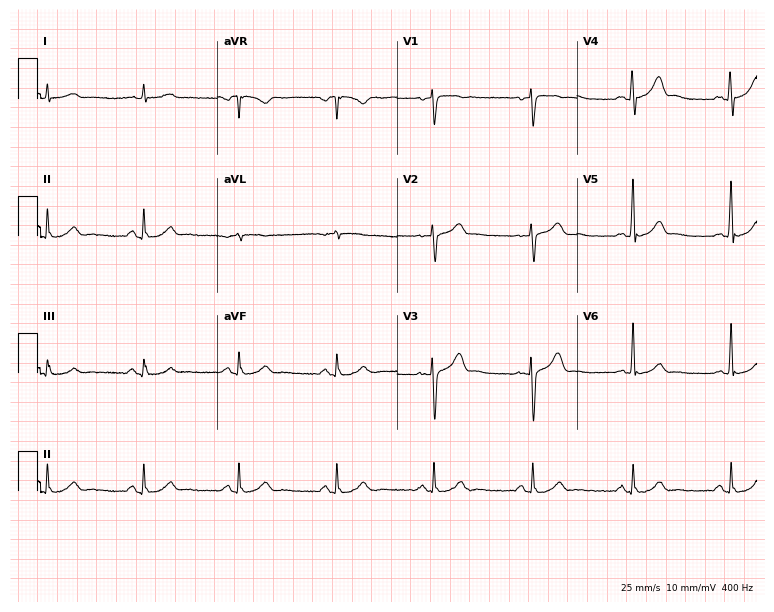
12-lead ECG from a 45-year-old male. Recorded interpretation: within normal limits.